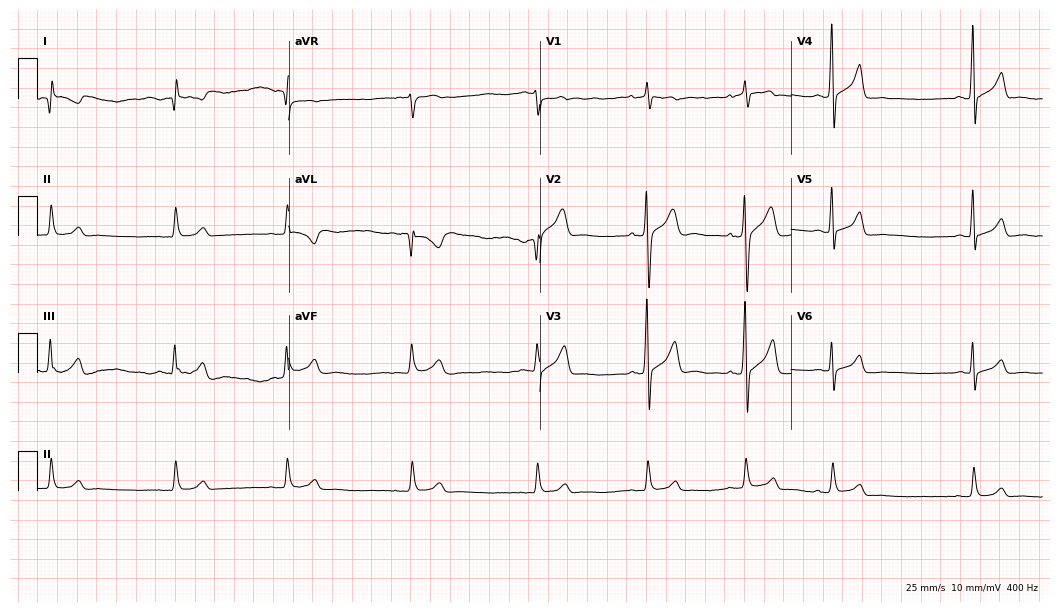
ECG — a 21-year-old male patient. Screened for six findings — first-degree AV block, right bundle branch block (RBBB), left bundle branch block (LBBB), sinus bradycardia, atrial fibrillation (AF), sinus tachycardia — none is recorded.